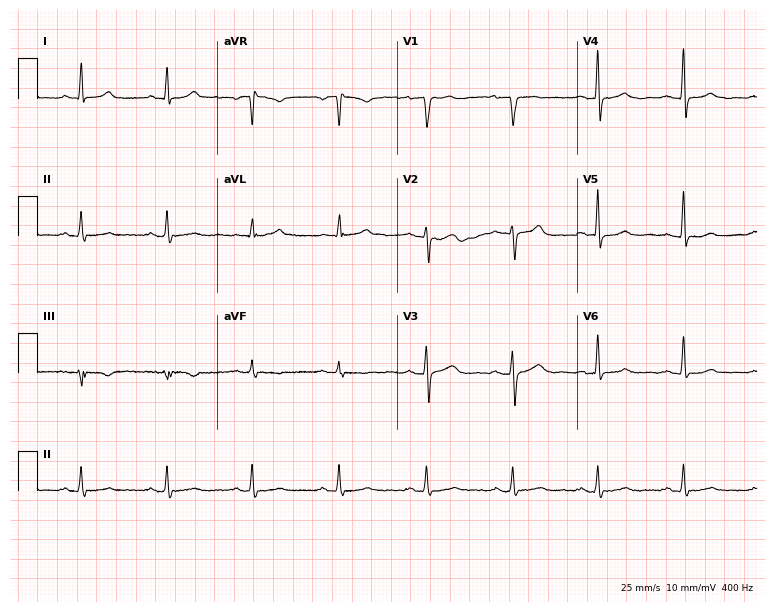
12-lead ECG (7.3-second recording at 400 Hz) from a man, 71 years old. Screened for six findings — first-degree AV block, right bundle branch block, left bundle branch block, sinus bradycardia, atrial fibrillation, sinus tachycardia — none is recorded.